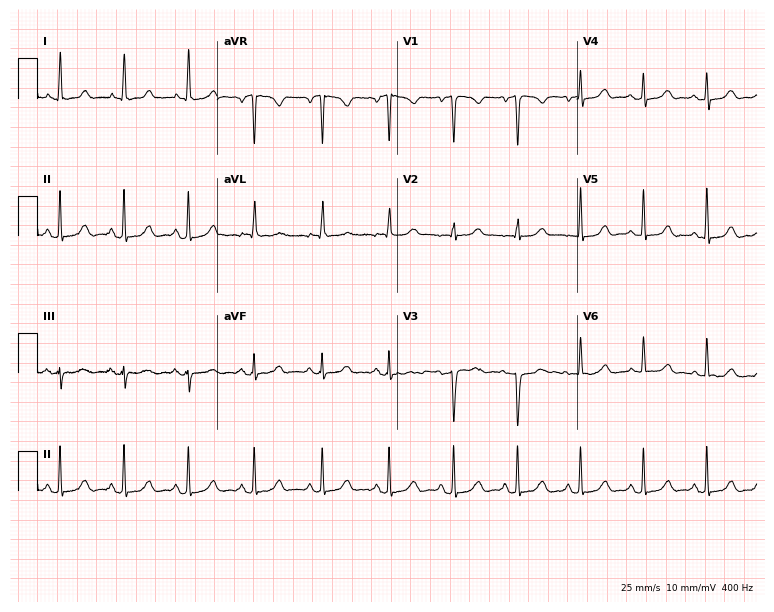
12-lead ECG from a 60-year-old woman (7.3-second recording at 400 Hz). Recorded interpretation: within normal limits.